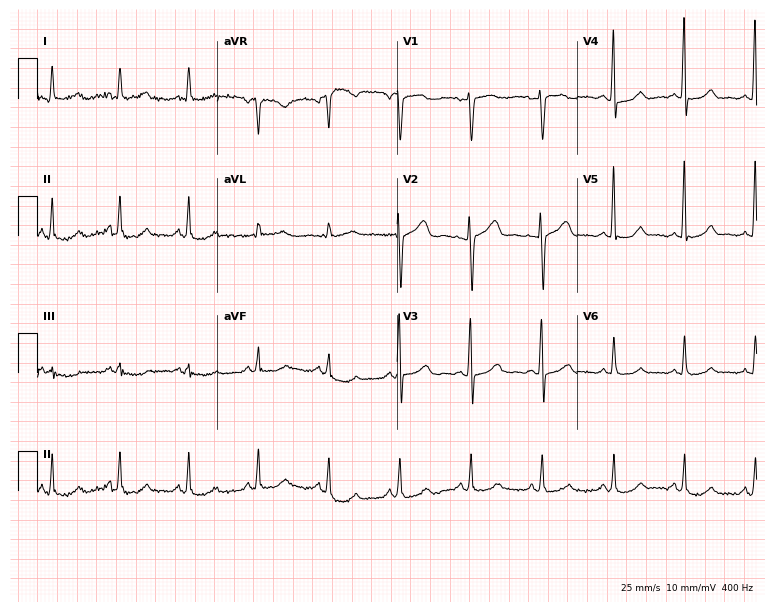
12-lead ECG from a female, 58 years old (7.3-second recording at 400 Hz). No first-degree AV block, right bundle branch block, left bundle branch block, sinus bradycardia, atrial fibrillation or sinus tachycardia recorded for this tracing. Other findings, if any, are not listed.